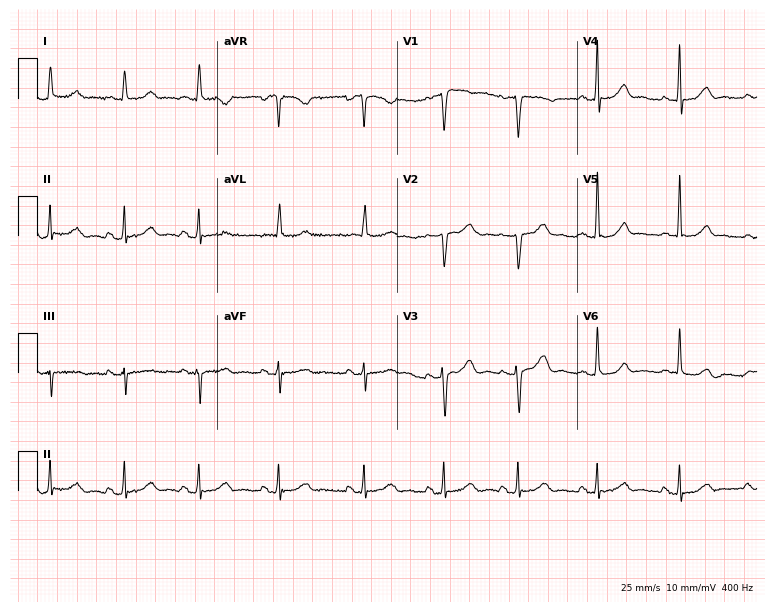
Standard 12-lead ECG recorded from a 60-year-old female patient. Read as a normal ECG.